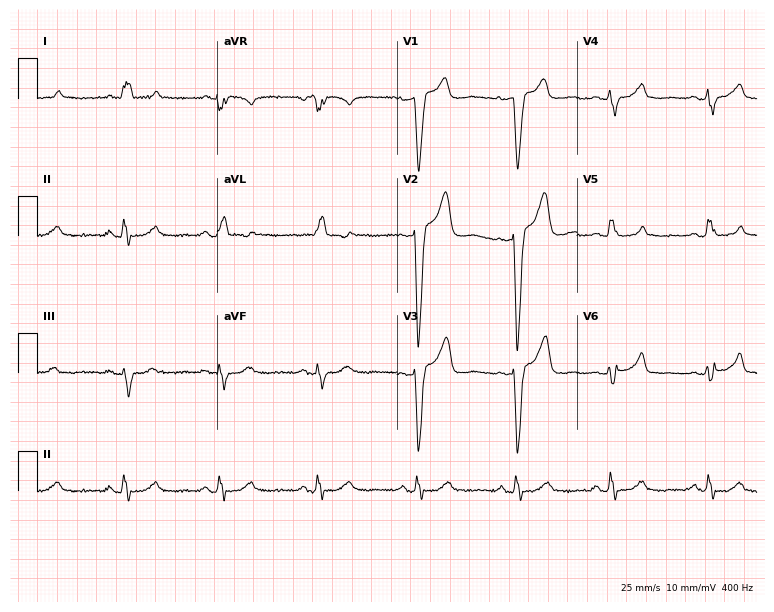
Resting 12-lead electrocardiogram. Patient: a female, 55 years old. The tracing shows left bundle branch block (LBBB).